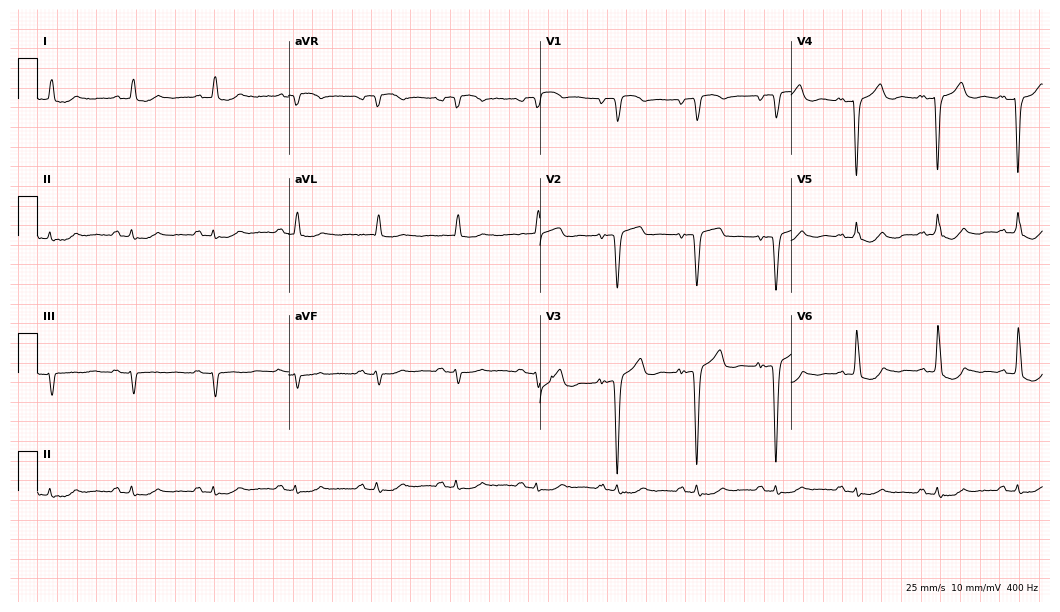
ECG (10.2-second recording at 400 Hz) — a woman, 82 years old. Screened for six findings — first-degree AV block, right bundle branch block, left bundle branch block, sinus bradycardia, atrial fibrillation, sinus tachycardia — none is recorded. Only these six findings were labelled.